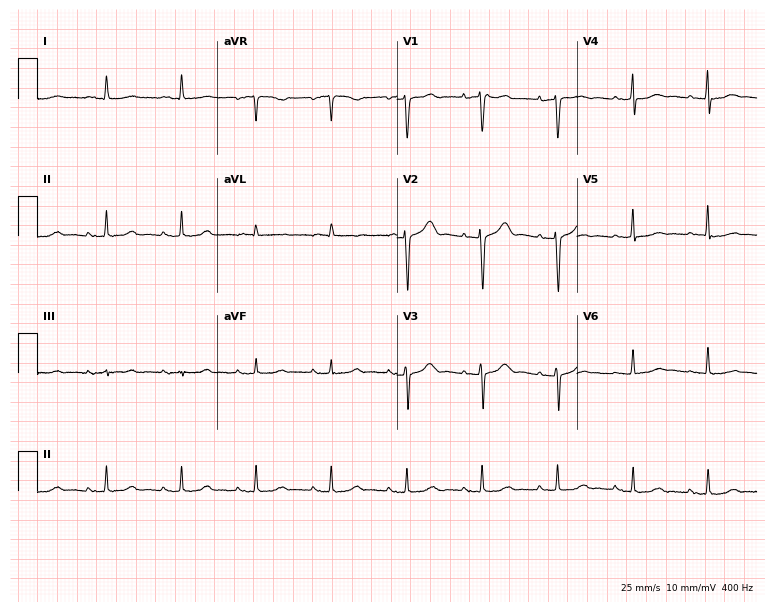
ECG — a 73-year-old female. Screened for six findings — first-degree AV block, right bundle branch block, left bundle branch block, sinus bradycardia, atrial fibrillation, sinus tachycardia — none is recorded.